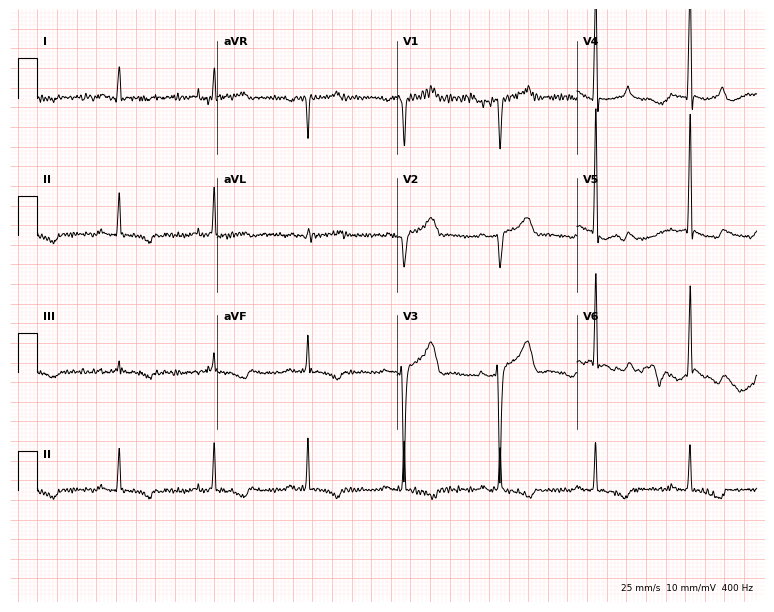
Electrocardiogram, a male patient, 68 years old. Of the six screened findings (first-degree AV block, right bundle branch block (RBBB), left bundle branch block (LBBB), sinus bradycardia, atrial fibrillation (AF), sinus tachycardia), none is recorded. Other findings, if any, are not listed.